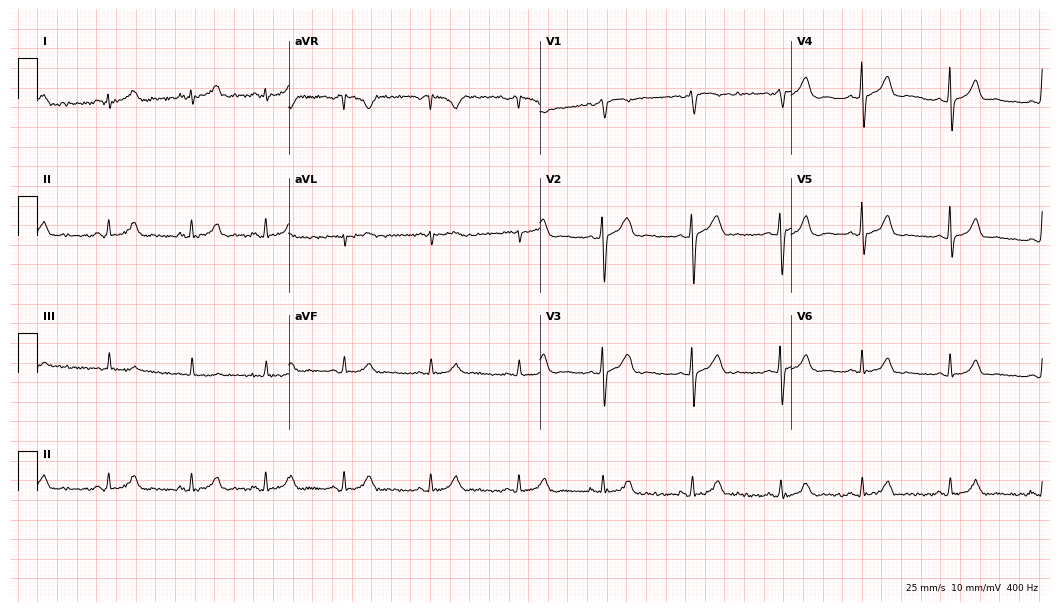
Electrocardiogram, a 29-year-old female patient. Overall reading on record: normal ECG.